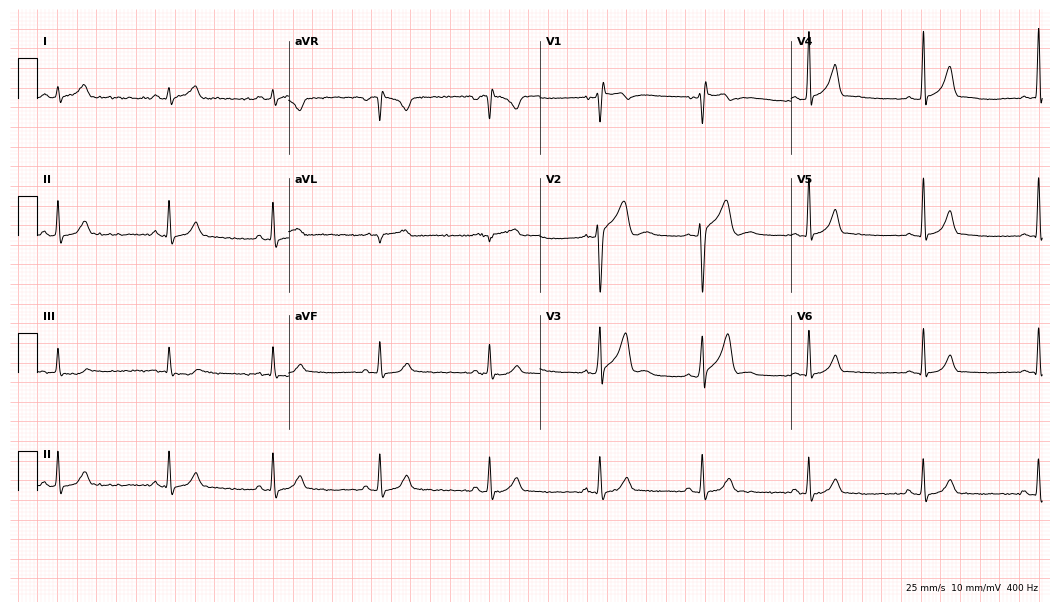
Electrocardiogram, a male patient, 29 years old. Of the six screened findings (first-degree AV block, right bundle branch block, left bundle branch block, sinus bradycardia, atrial fibrillation, sinus tachycardia), none is recorded.